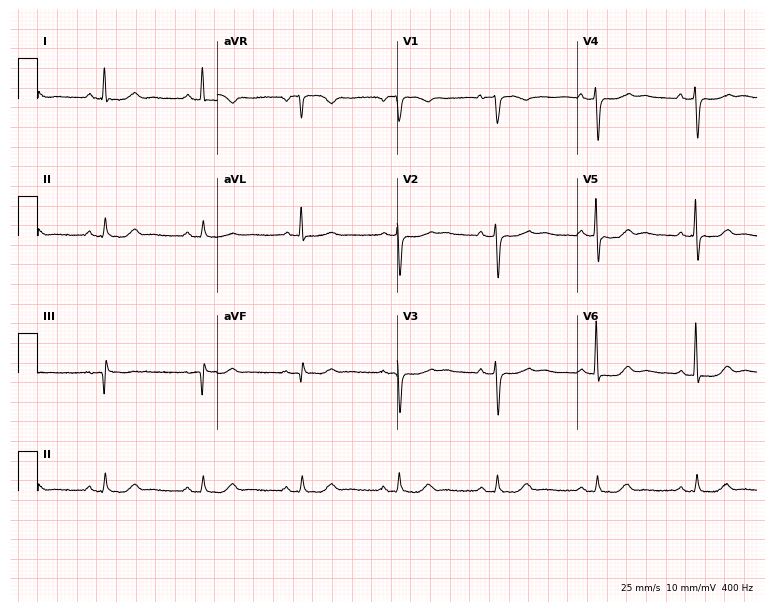
Electrocardiogram (7.3-second recording at 400 Hz), a female patient, 63 years old. Of the six screened findings (first-degree AV block, right bundle branch block (RBBB), left bundle branch block (LBBB), sinus bradycardia, atrial fibrillation (AF), sinus tachycardia), none is recorded.